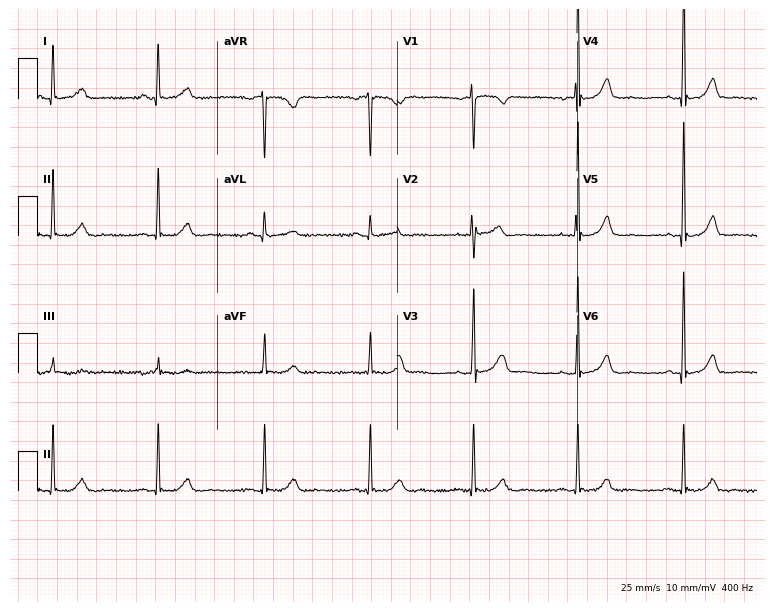
ECG — a female patient, 34 years old. Screened for six findings — first-degree AV block, right bundle branch block (RBBB), left bundle branch block (LBBB), sinus bradycardia, atrial fibrillation (AF), sinus tachycardia — none is recorded.